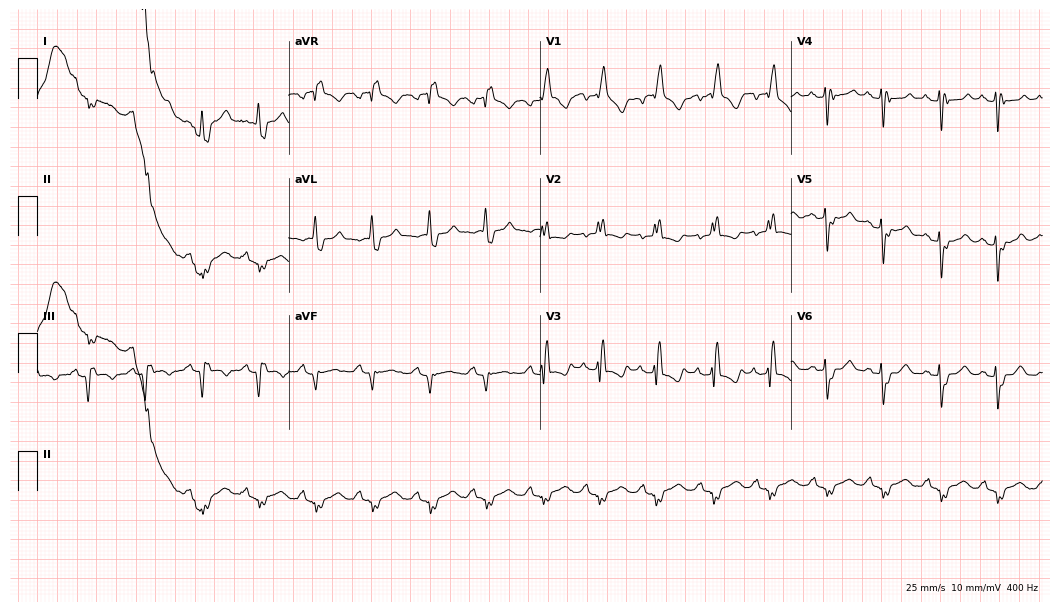
12-lead ECG from a female patient, 74 years old. Shows right bundle branch block (RBBB), sinus tachycardia (a sinus rate of 100 beats per minute or more).